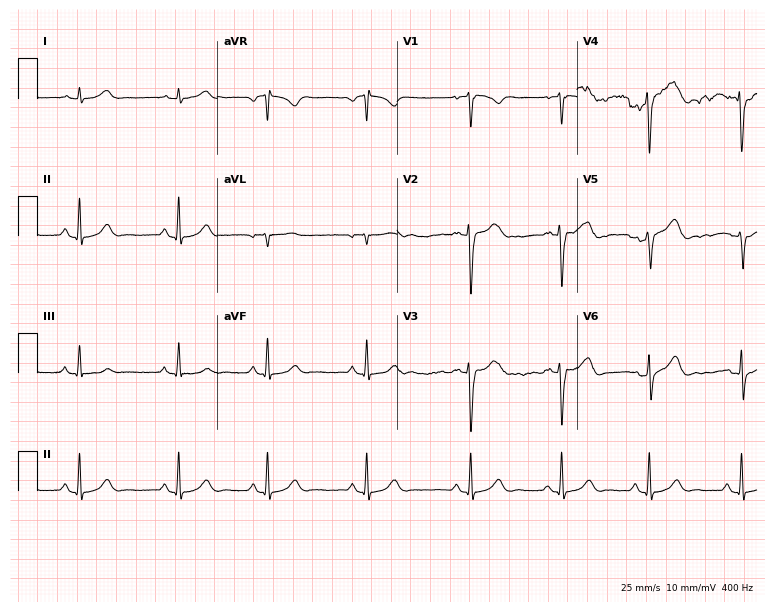
12-lead ECG from a 35-year-old man. Screened for six findings — first-degree AV block, right bundle branch block, left bundle branch block, sinus bradycardia, atrial fibrillation, sinus tachycardia — none is recorded. Other findings, if any, are not listed.